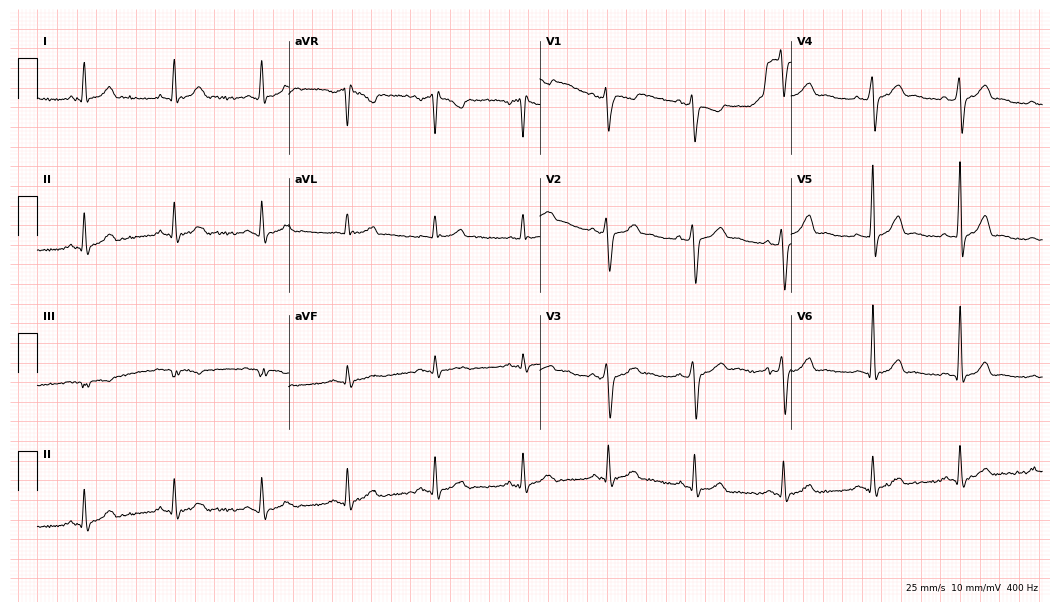
12-lead ECG (10.2-second recording at 400 Hz) from a man, 37 years old. Screened for six findings — first-degree AV block, right bundle branch block, left bundle branch block, sinus bradycardia, atrial fibrillation, sinus tachycardia — none is recorded. Other findings, if any, are not listed.